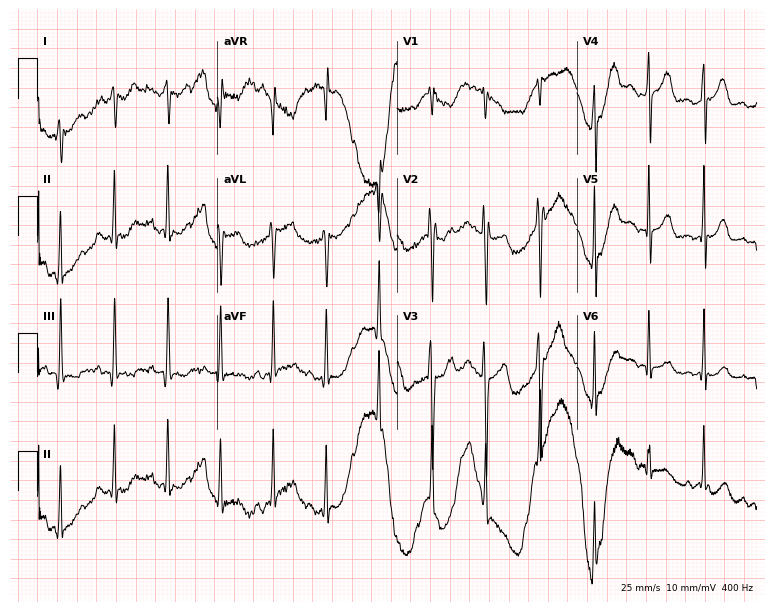
12-lead ECG (7.3-second recording at 400 Hz) from a 22-year-old male. Findings include atrial fibrillation, sinus tachycardia (a sinus rate of 100 beats per minute or more).